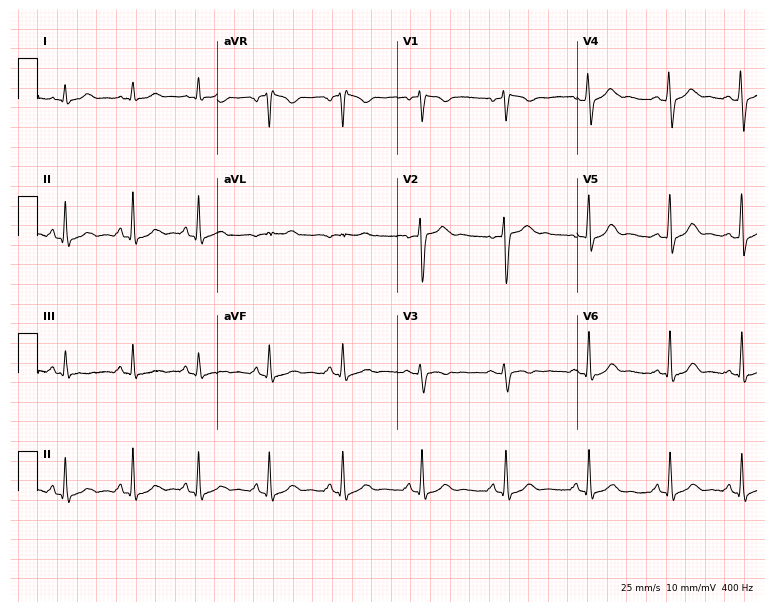
Standard 12-lead ECG recorded from a 30-year-old female patient (7.3-second recording at 400 Hz). Read as a normal ECG.